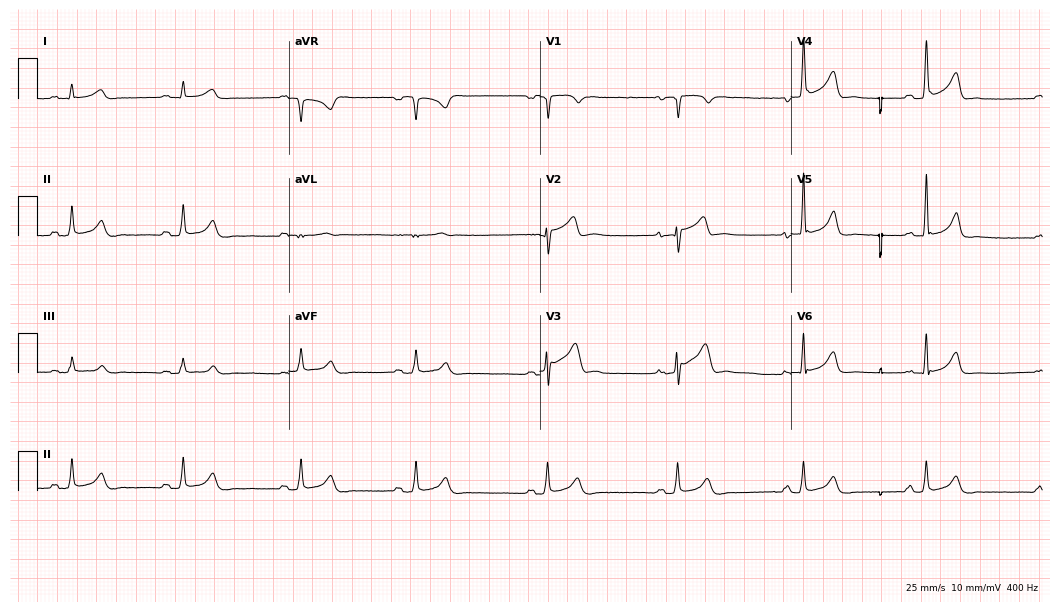
12-lead ECG from a 35-year-old man. No first-degree AV block, right bundle branch block, left bundle branch block, sinus bradycardia, atrial fibrillation or sinus tachycardia recorded for this tracing.